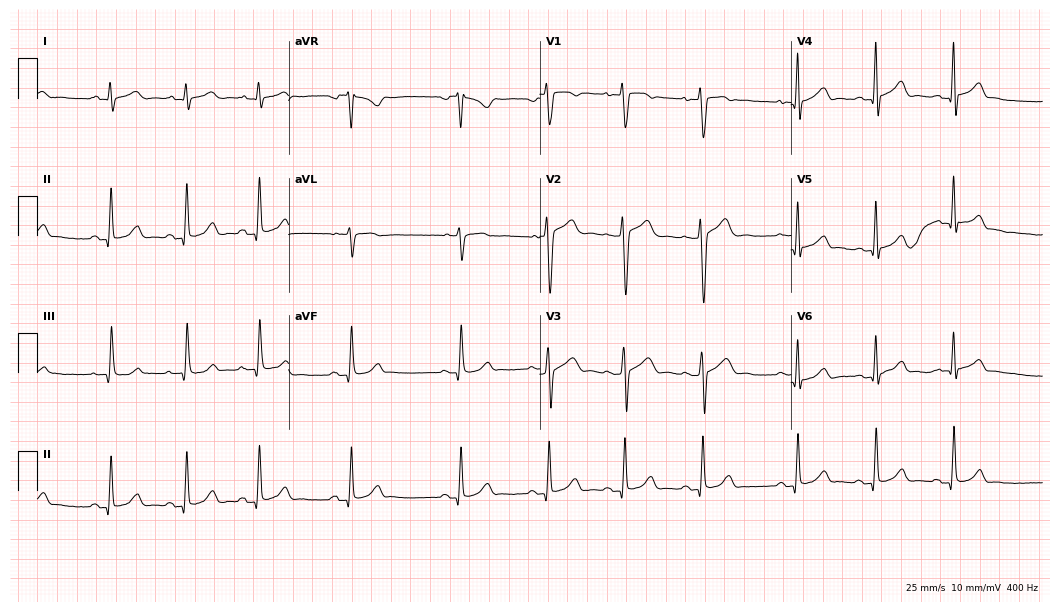
Electrocardiogram, a 22-year-old female patient. Overall reading on record: normal ECG.